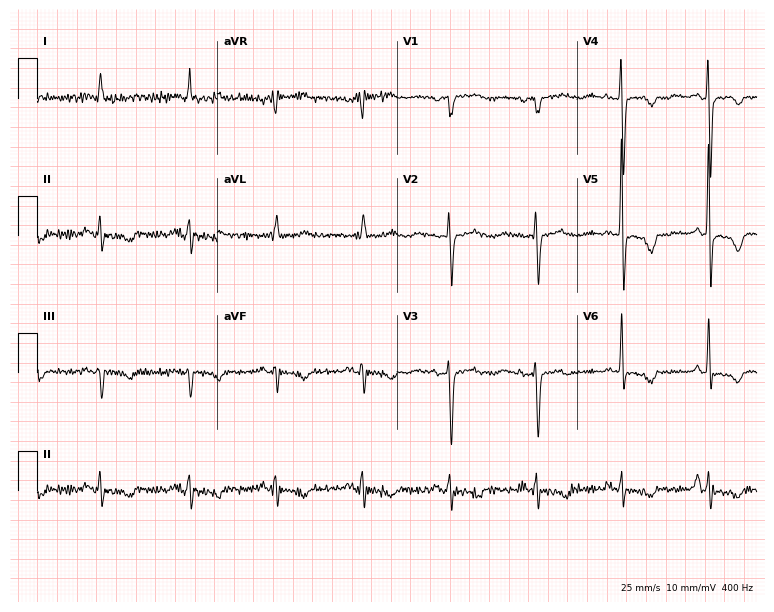
ECG — a woman, 62 years old. Screened for six findings — first-degree AV block, right bundle branch block (RBBB), left bundle branch block (LBBB), sinus bradycardia, atrial fibrillation (AF), sinus tachycardia — none is recorded. Findings outside these six are not listed.